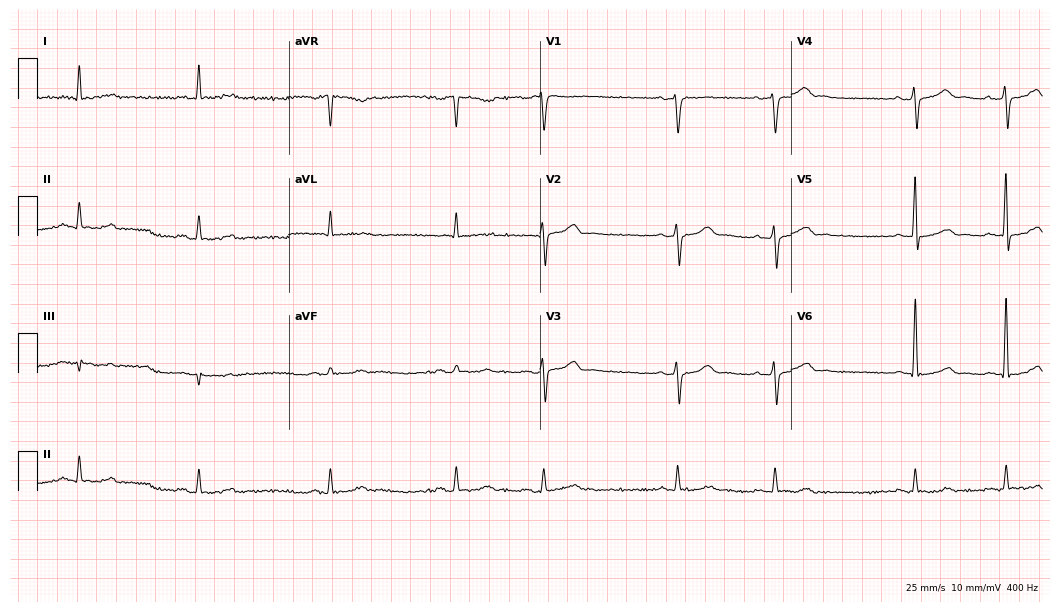
ECG — a 76-year-old male. Findings include sinus bradycardia (a sinus rate of 50 beats per minute or less).